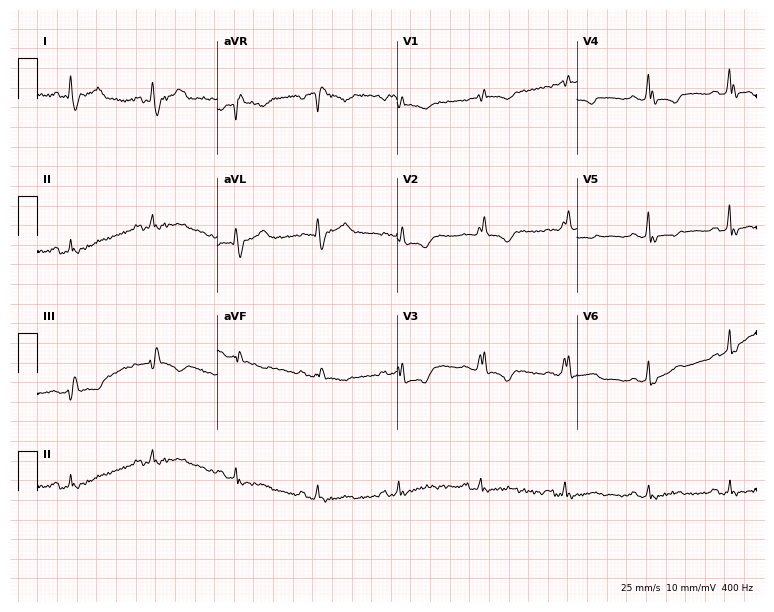
12-lead ECG from a female patient, 61 years old. Findings include right bundle branch block (RBBB).